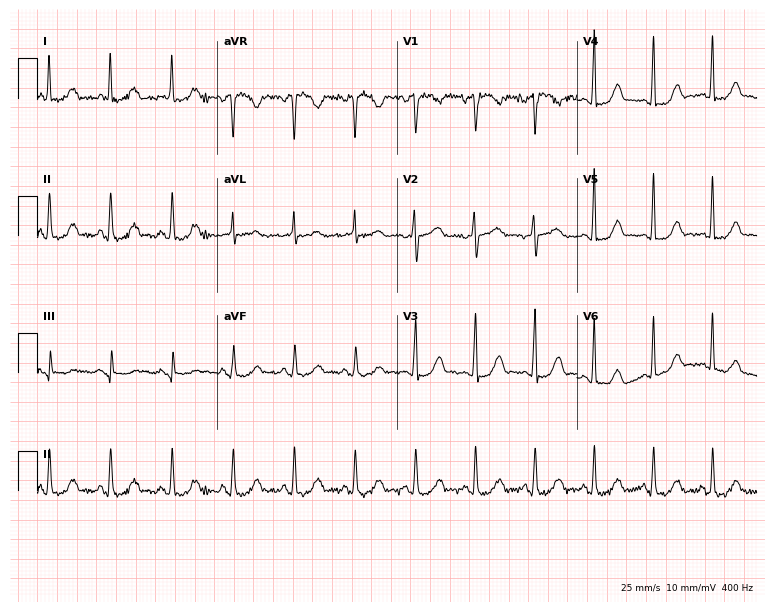
Resting 12-lead electrocardiogram. Patient: a 53-year-old female. Read as a normal ECG.